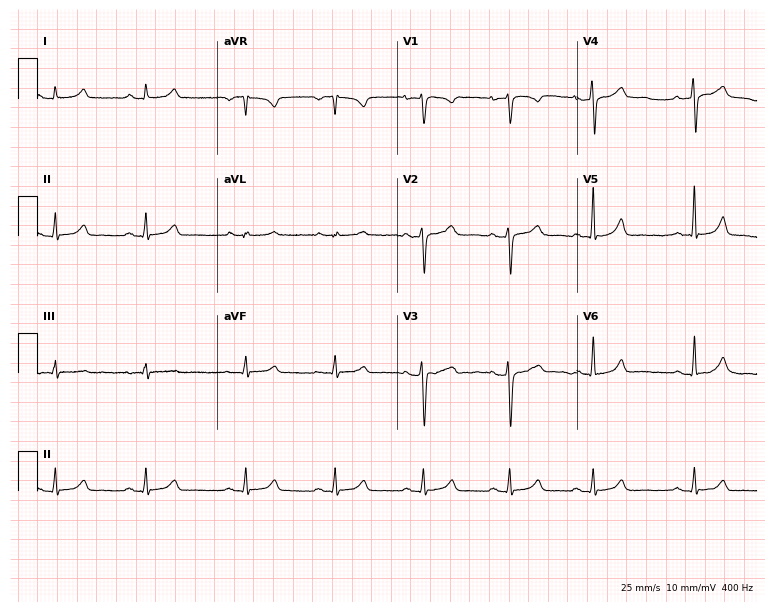
Resting 12-lead electrocardiogram. Patient: a 42-year-old woman. Read as a normal ECG.